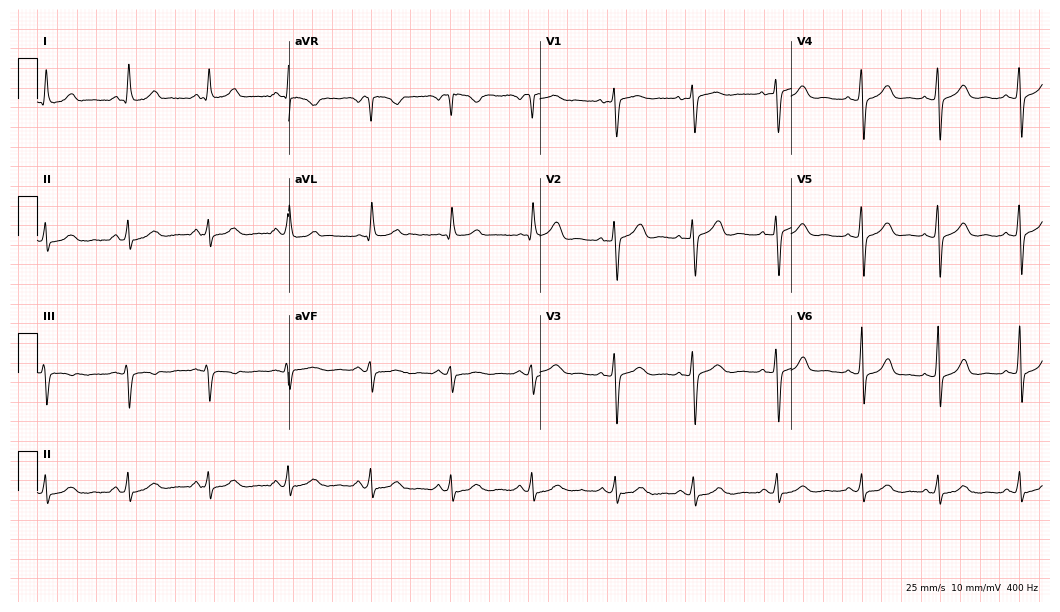
Resting 12-lead electrocardiogram (10.2-second recording at 400 Hz). Patient: a 28-year-old female. Read as a normal ECG.